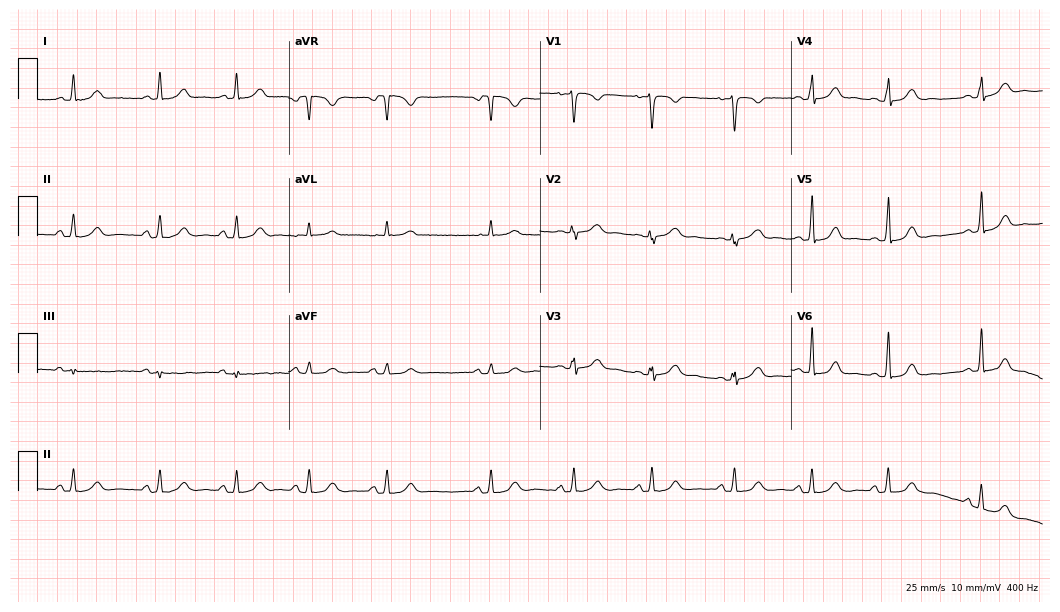
Resting 12-lead electrocardiogram (10.2-second recording at 400 Hz). Patient: a 42-year-old woman. Read as a normal ECG.